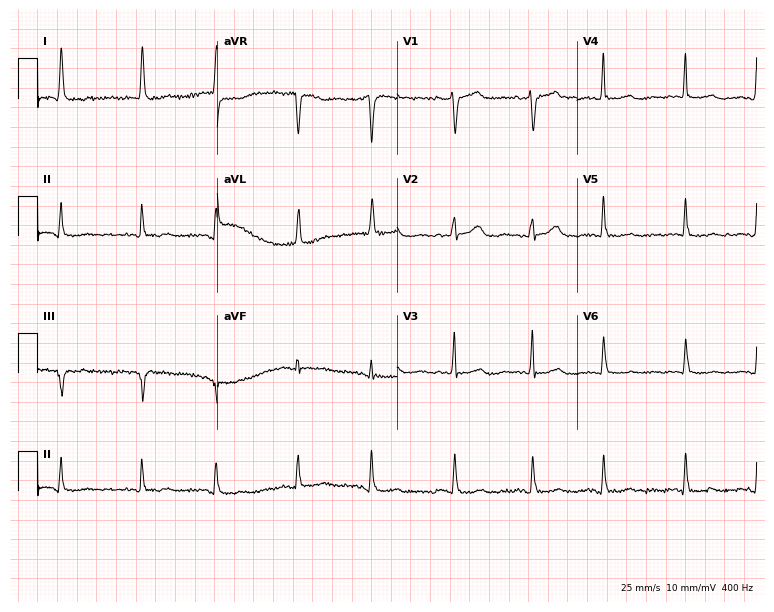
Electrocardiogram, a female, 68 years old. Overall reading on record: normal ECG.